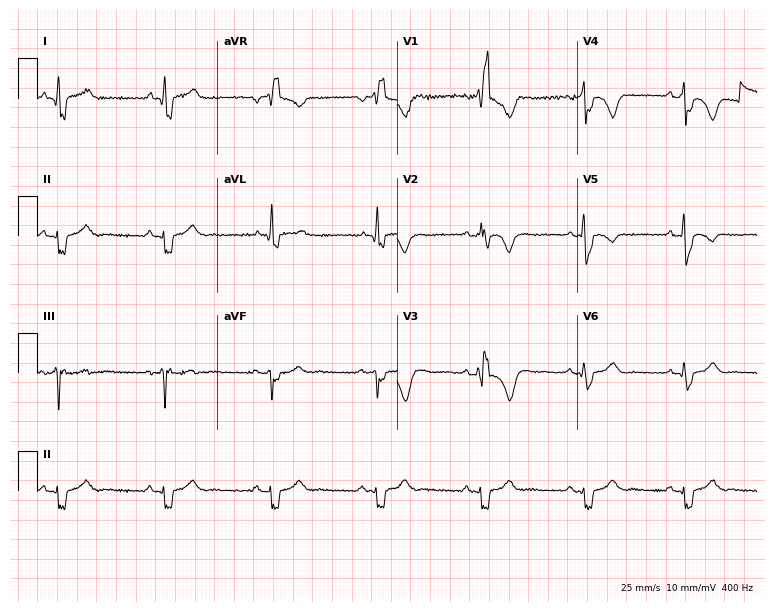
Electrocardiogram (7.3-second recording at 400 Hz), a male, 55 years old. Interpretation includes right bundle branch block (RBBB).